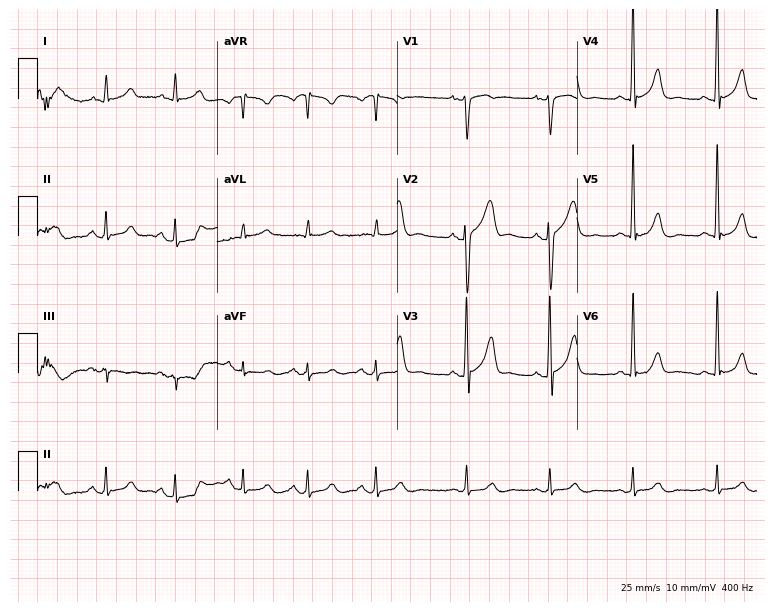
Electrocardiogram, a 24-year-old male patient. Overall reading on record: normal ECG.